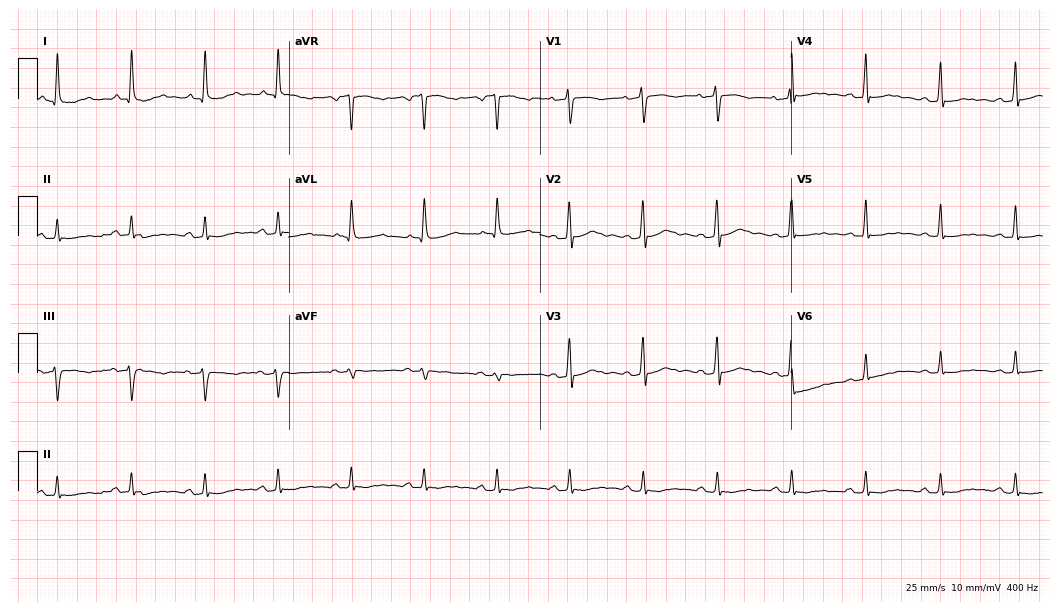
12-lead ECG from a 63-year-old female. Labelled as a normal ECG.